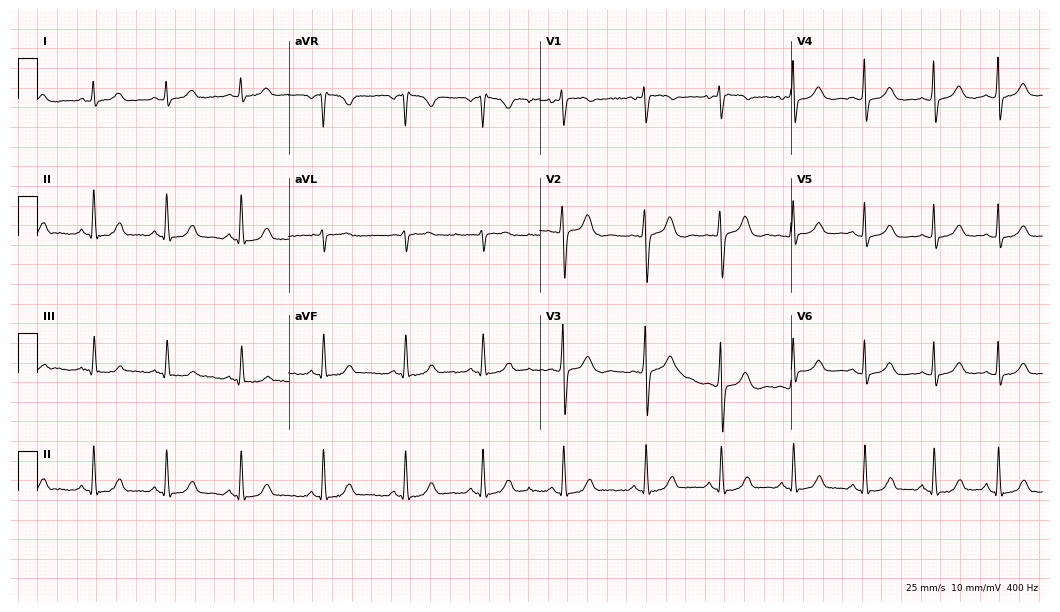
12-lead ECG from a woman, 23 years old. Labelled as a normal ECG.